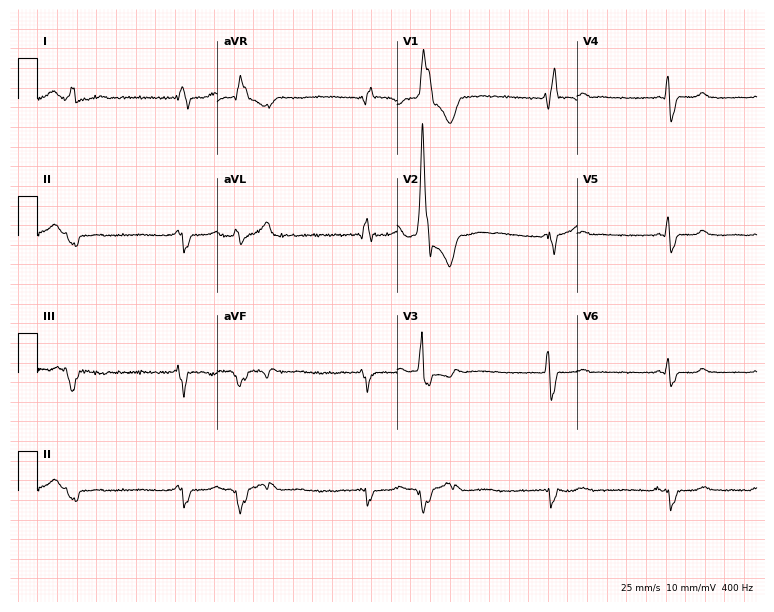
Resting 12-lead electrocardiogram. Patient: a 59-year-old male. None of these six findings is recorded: first-degree AV block, right bundle branch block, left bundle branch block, sinus bradycardia, atrial fibrillation, sinus tachycardia.